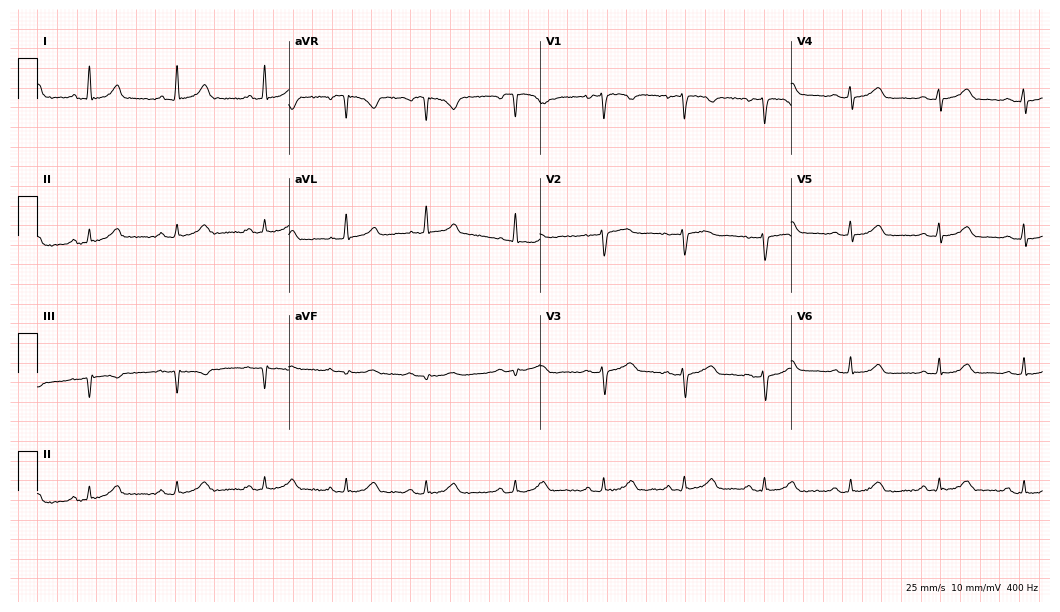
Resting 12-lead electrocardiogram (10.2-second recording at 400 Hz). Patient: a female, 65 years old. Read as a normal ECG.